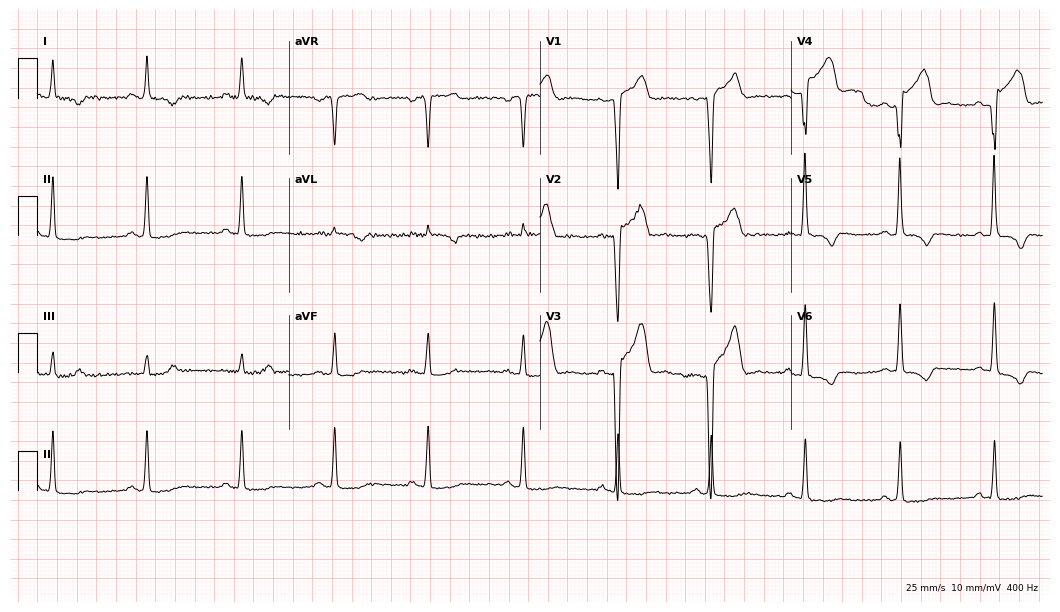
Electrocardiogram (10.2-second recording at 400 Hz), a 54-year-old man. Of the six screened findings (first-degree AV block, right bundle branch block (RBBB), left bundle branch block (LBBB), sinus bradycardia, atrial fibrillation (AF), sinus tachycardia), none is recorded.